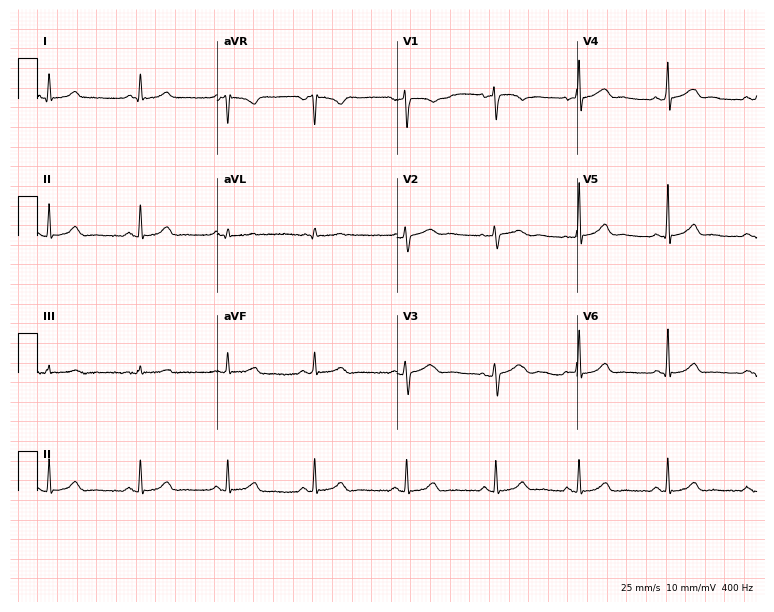
ECG — a 40-year-old female. Labelled as a normal ECG.